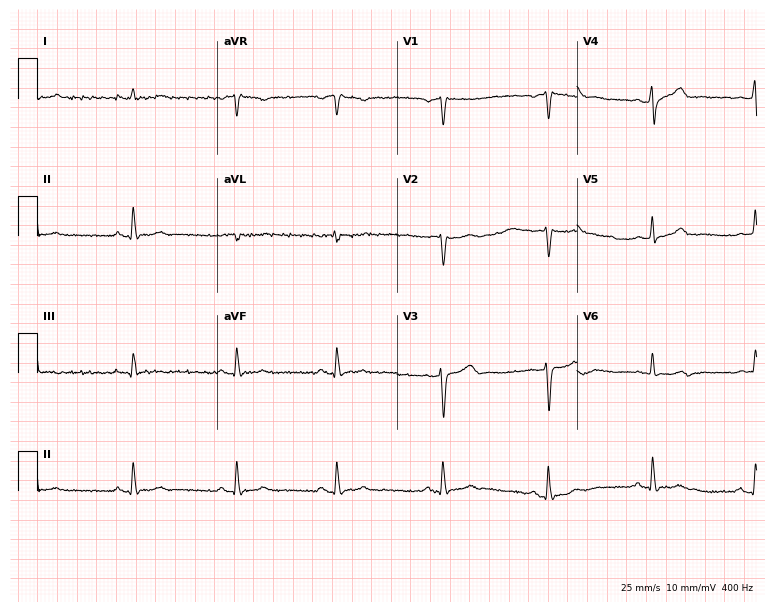
ECG — a male, 53 years old. Screened for six findings — first-degree AV block, right bundle branch block, left bundle branch block, sinus bradycardia, atrial fibrillation, sinus tachycardia — none is recorded. Other findings, if any, are not listed.